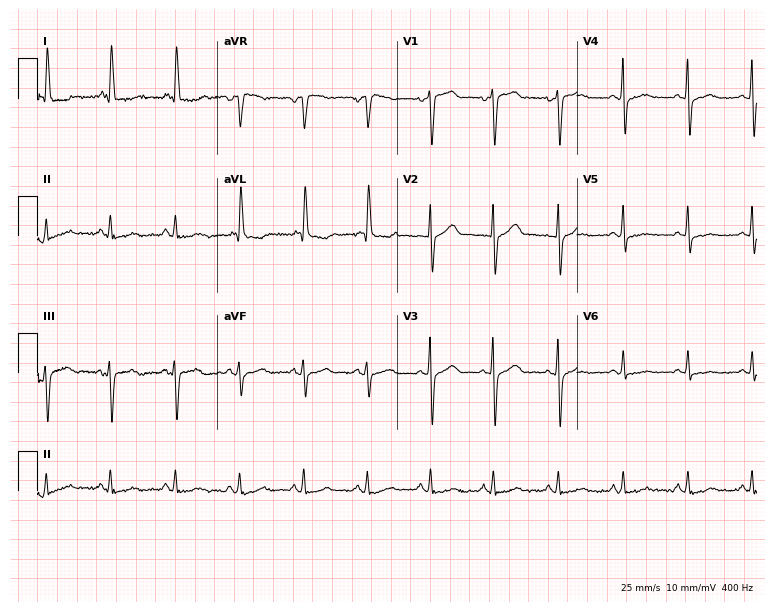
12-lead ECG from a female patient, 85 years old (7.3-second recording at 400 Hz). No first-degree AV block, right bundle branch block, left bundle branch block, sinus bradycardia, atrial fibrillation or sinus tachycardia recorded for this tracing. Only these six findings were labelled.